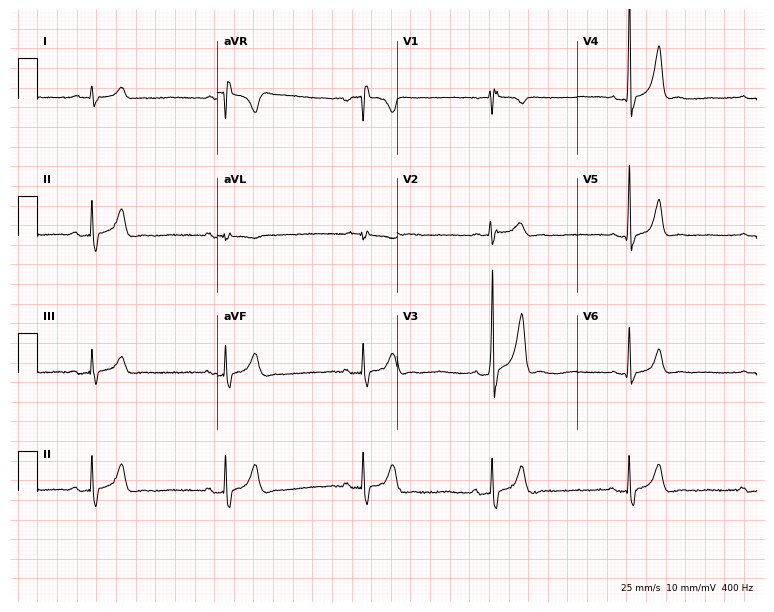
12-lead ECG from a 22-year-old male (7.3-second recording at 400 Hz). No first-degree AV block, right bundle branch block, left bundle branch block, sinus bradycardia, atrial fibrillation or sinus tachycardia recorded for this tracing.